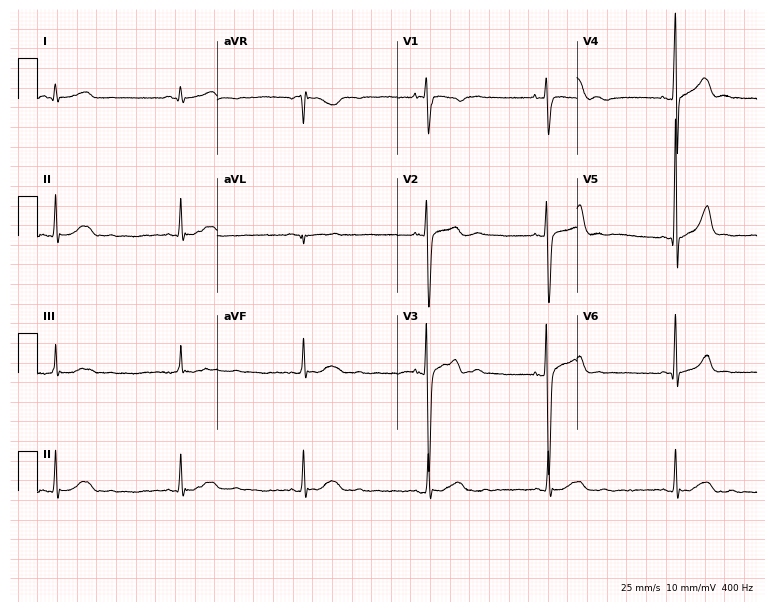
ECG — a 22-year-old male patient. Findings include sinus bradycardia (a sinus rate of 50 beats per minute or less).